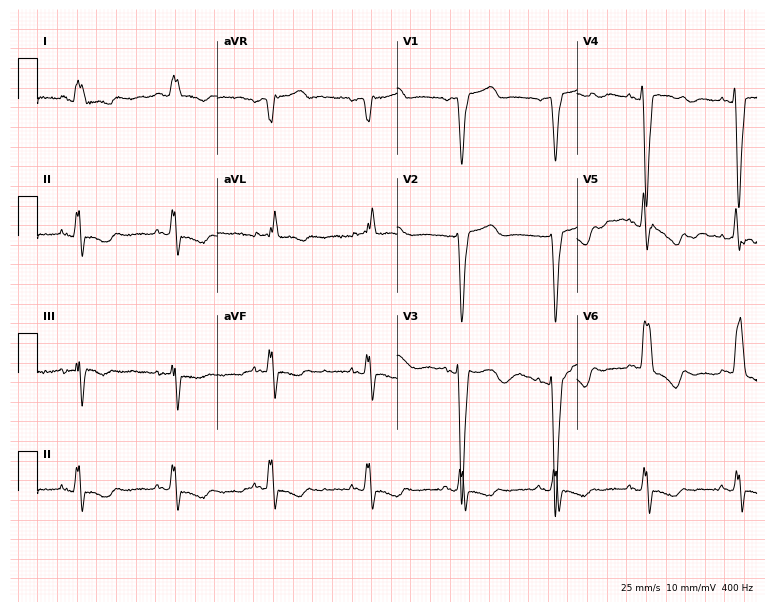
Resting 12-lead electrocardiogram. Patient: a female, 77 years old. The tracing shows left bundle branch block (LBBB).